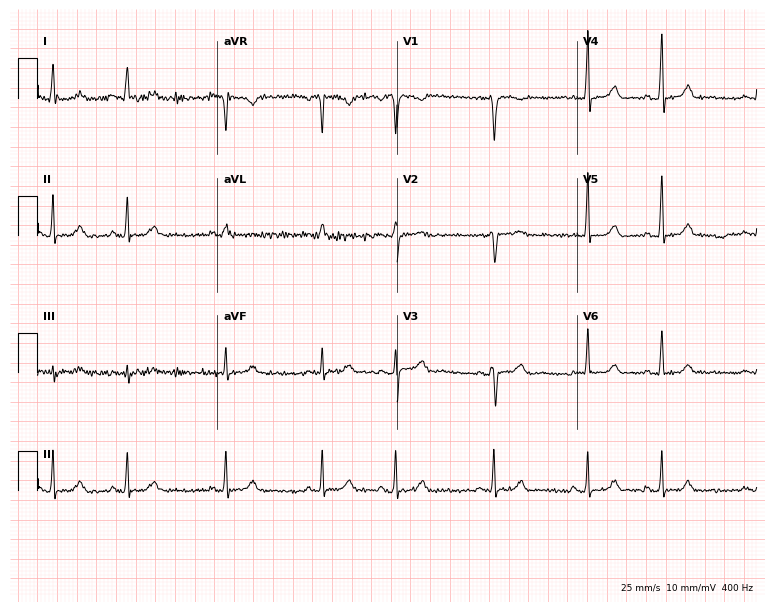
Electrocardiogram, a 79-year-old woman. Overall reading on record: normal ECG.